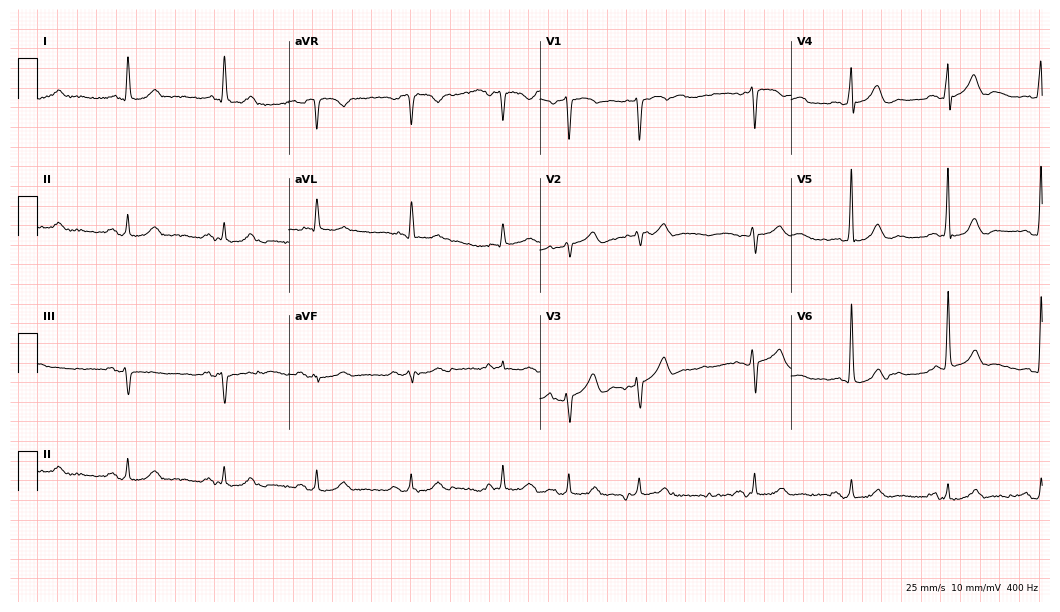
ECG — an 83-year-old male patient. Labelled as a normal ECG.